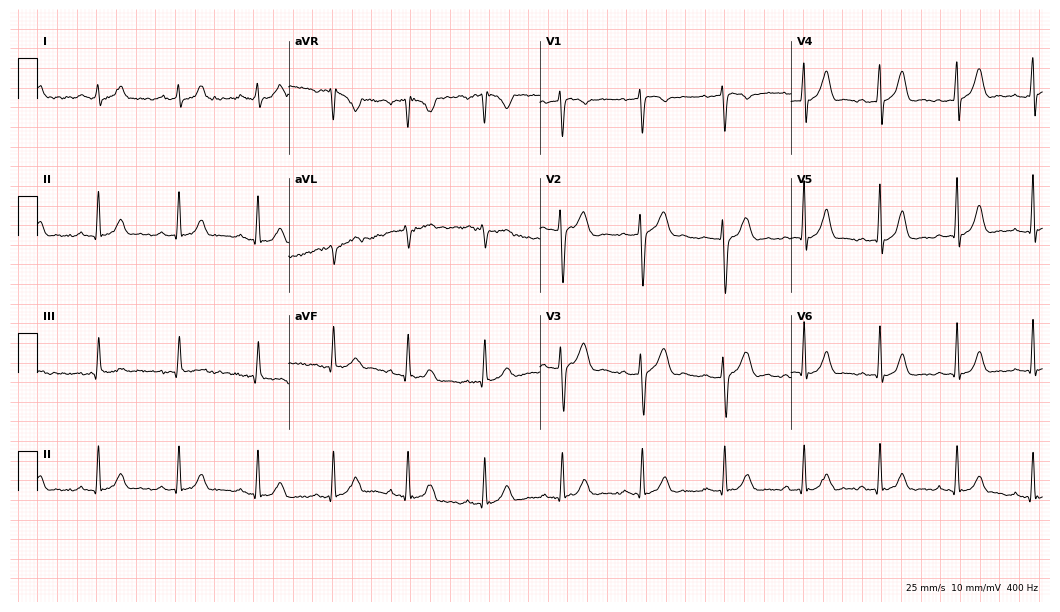
12-lead ECG from a 34-year-old male patient. Recorded interpretation: within normal limits.